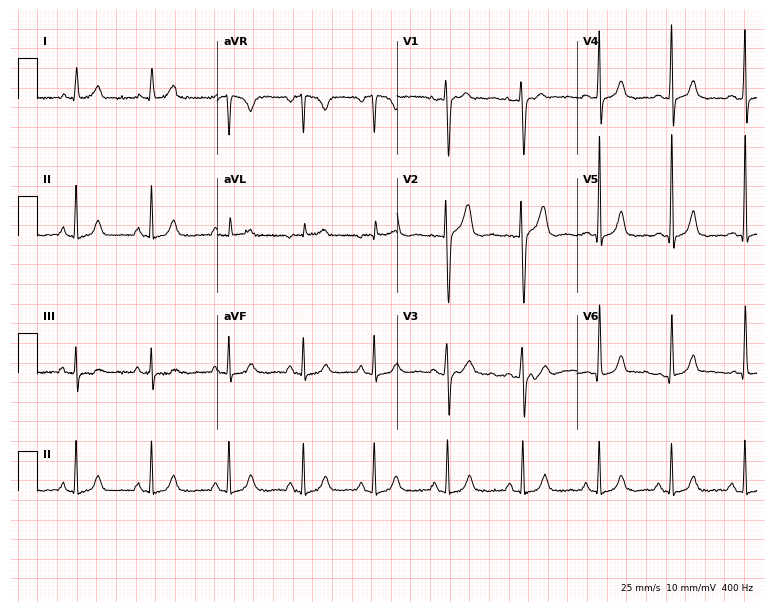
Standard 12-lead ECG recorded from a female patient, 34 years old (7.3-second recording at 400 Hz). None of these six findings is recorded: first-degree AV block, right bundle branch block, left bundle branch block, sinus bradycardia, atrial fibrillation, sinus tachycardia. Other findings, if any, are not listed.